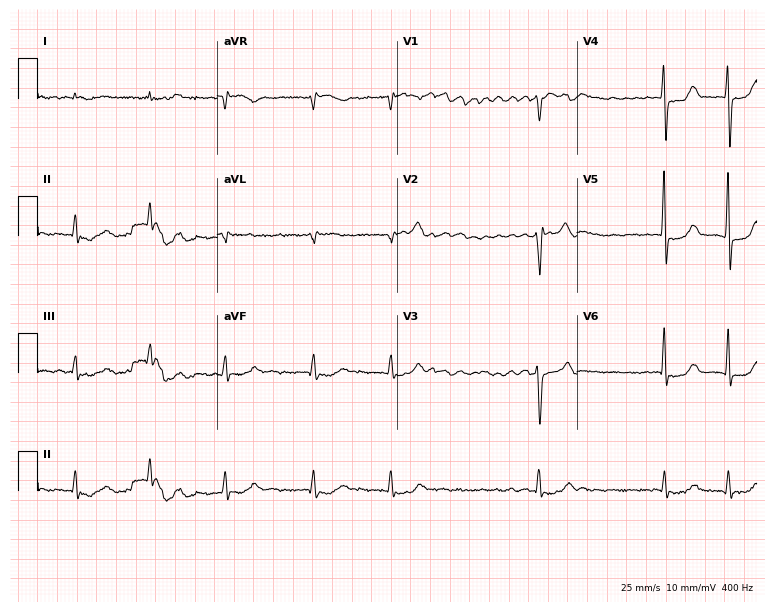
Electrocardiogram, a man, 73 years old. Interpretation includes atrial fibrillation (AF).